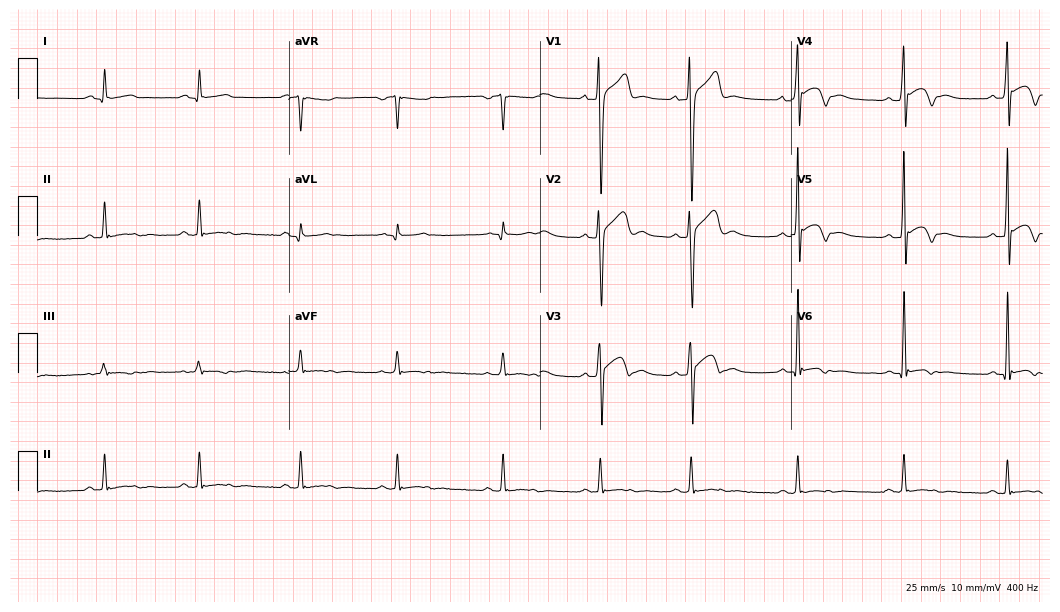
Electrocardiogram (10.2-second recording at 400 Hz), a male patient, 19 years old. Of the six screened findings (first-degree AV block, right bundle branch block (RBBB), left bundle branch block (LBBB), sinus bradycardia, atrial fibrillation (AF), sinus tachycardia), none is recorded.